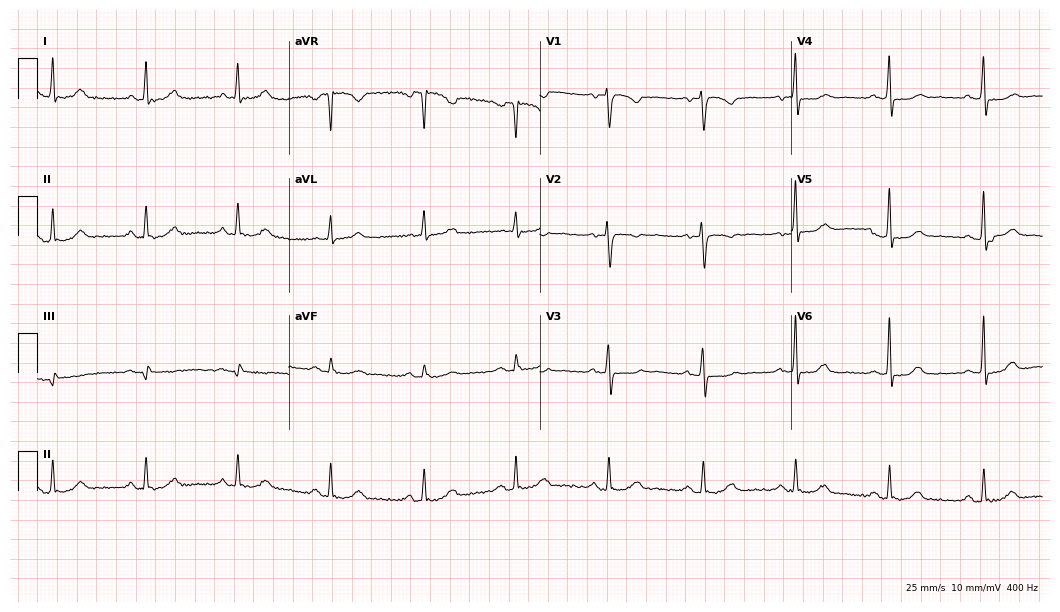
ECG (10.2-second recording at 400 Hz) — a 63-year-old female patient. Screened for six findings — first-degree AV block, right bundle branch block, left bundle branch block, sinus bradycardia, atrial fibrillation, sinus tachycardia — none is recorded. Findings outside these six are not listed.